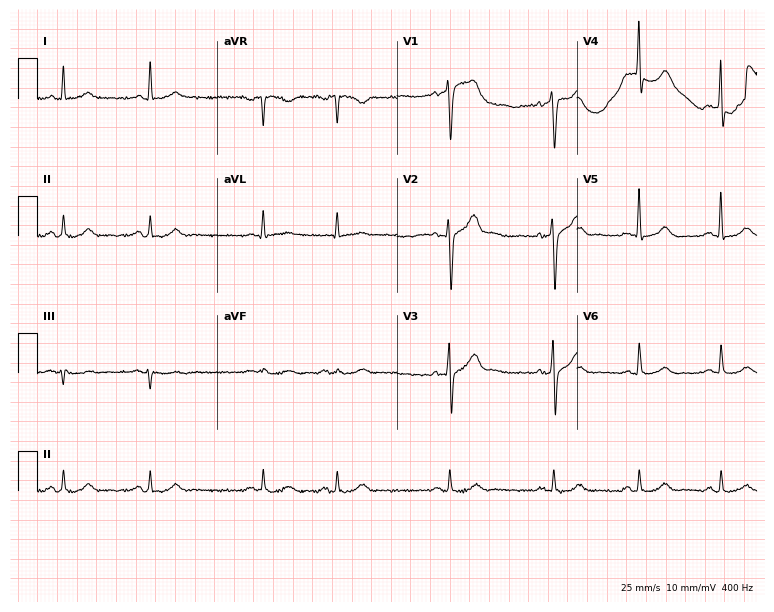
12-lead ECG from a man, 61 years old. Recorded interpretation: within normal limits.